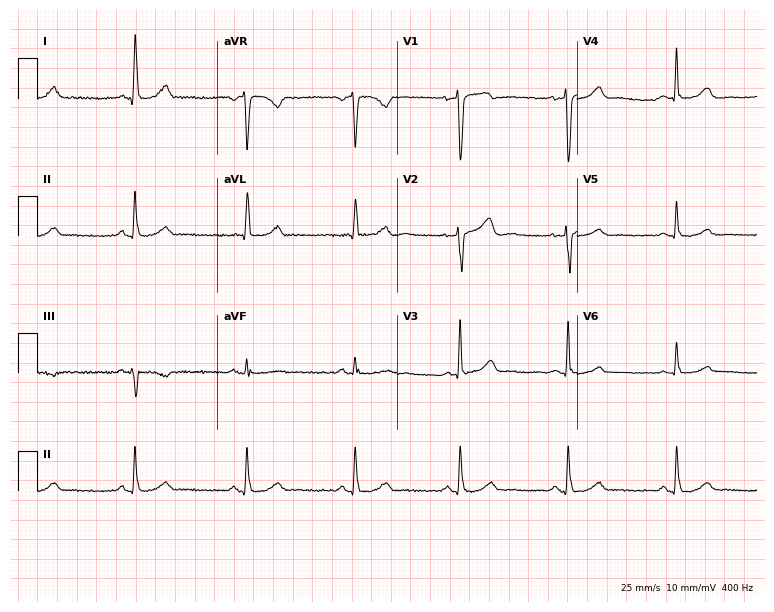
ECG (7.3-second recording at 400 Hz) — a woman, 61 years old. Labelled as a normal ECG.